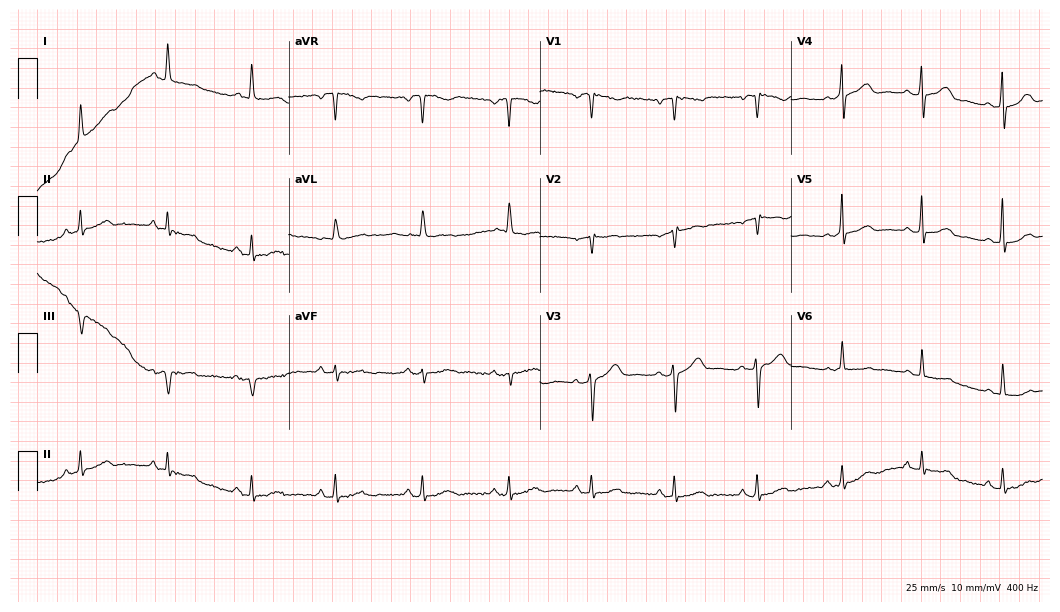
12-lead ECG from a female, 80 years old. No first-degree AV block, right bundle branch block, left bundle branch block, sinus bradycardia, atrial fibrillation or sinus tachycardia recorded for this tracing. Other findings, if any, are not listed.